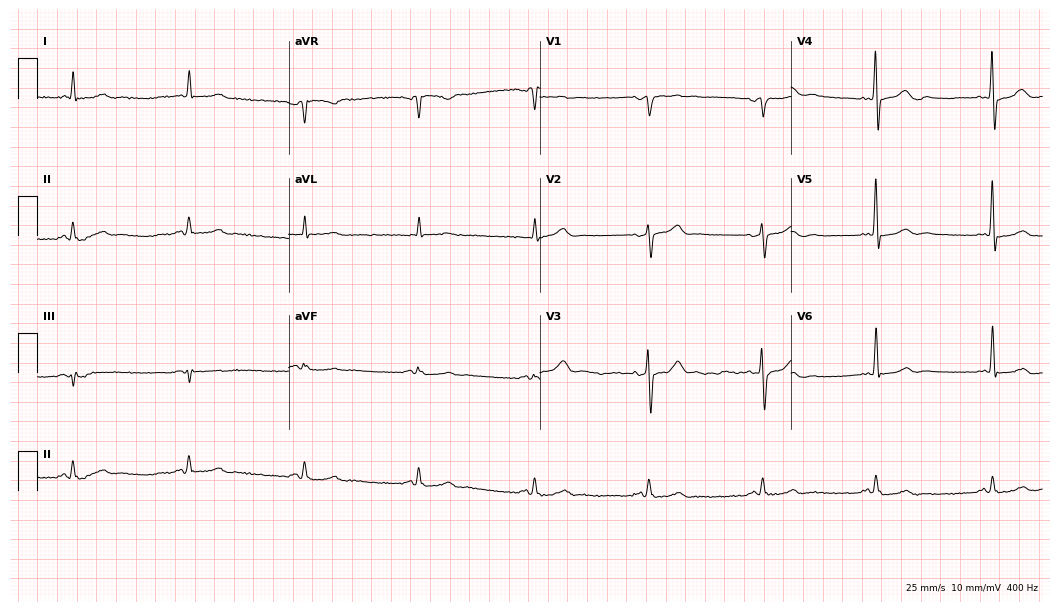
ECG — a 71-year-old male patient. Screened for six findings — first-degree AV block, right bundle branch block (RBBB), left bundle branch block (LBBB), sinus bradycardia, atrial fibrillation (AF), sinus tachycardia — none is recorded. Other findings, if any, are not listed.